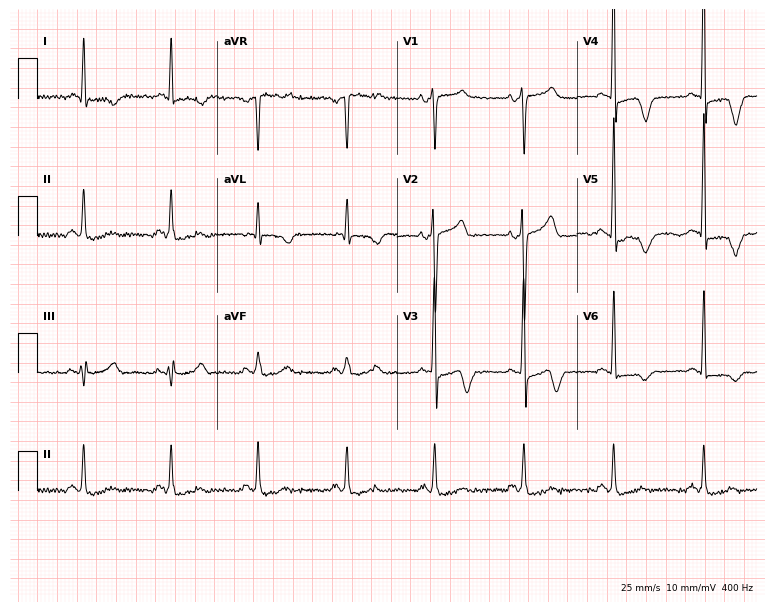
12-lead ECG (7.3-second recording at 400 Hz) from a woman, 68 years old. Screened for six findings — first-degree AV block, right bundle branch block, left bundle branch block, sinus bradycardia, atrial fibrillation, sinus tachycardia — none is recorded.